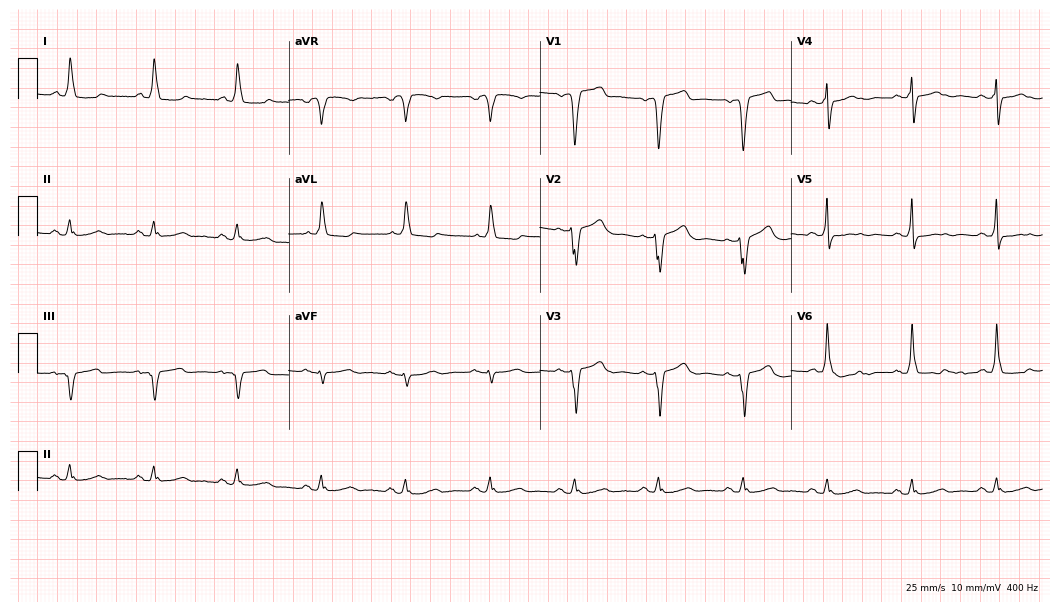
Resting 12-lead electrocardiogram. Patient: an 80-year-old male. The tracing shows left bundle branch block.